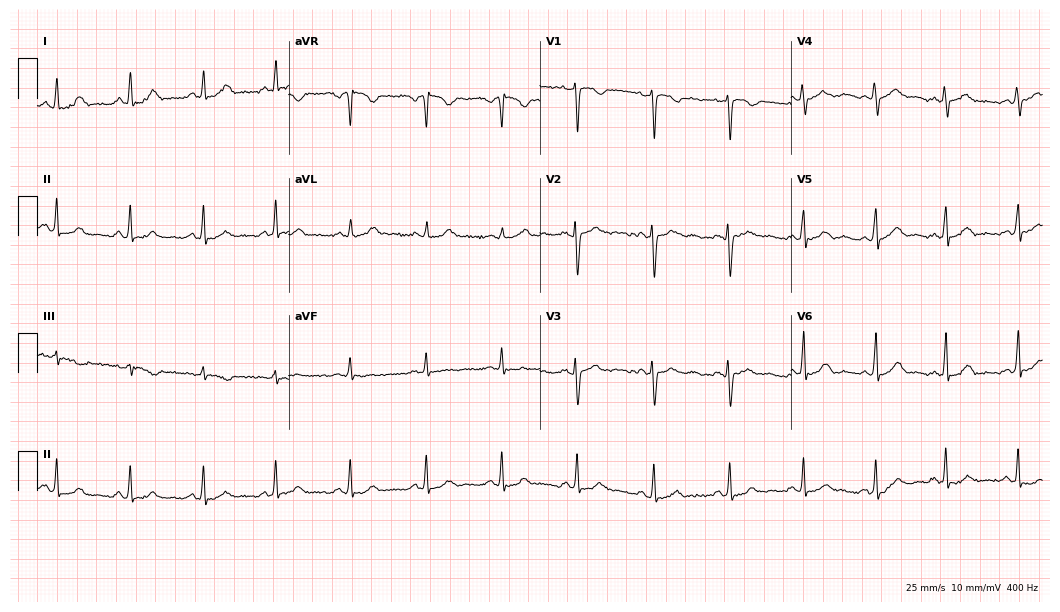
Resting 12-lead electrocardiogram. Patient: a woman, 23 years old. Read as a normal ECG.